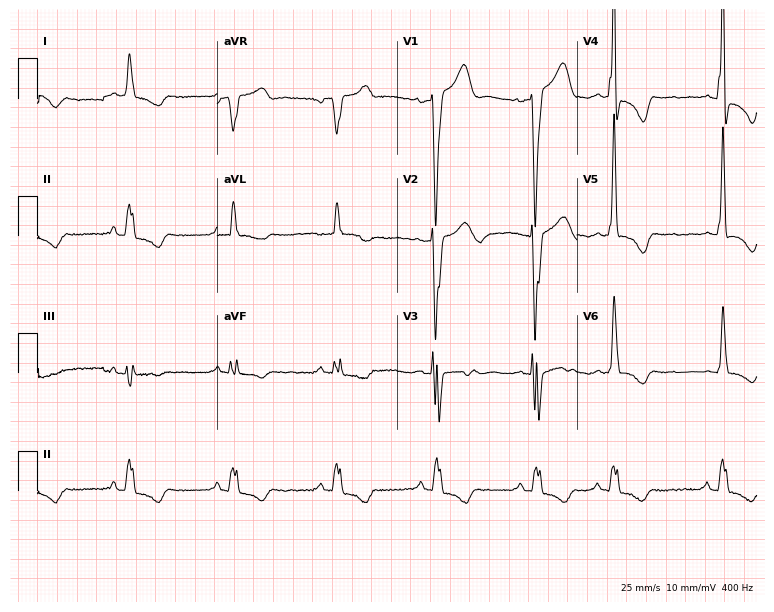
Resting 12-lead electrocardiogram (7.3-second recording at 400 Hz). Patient: a 79-year-old man. The tracing shows left bundle branch block.